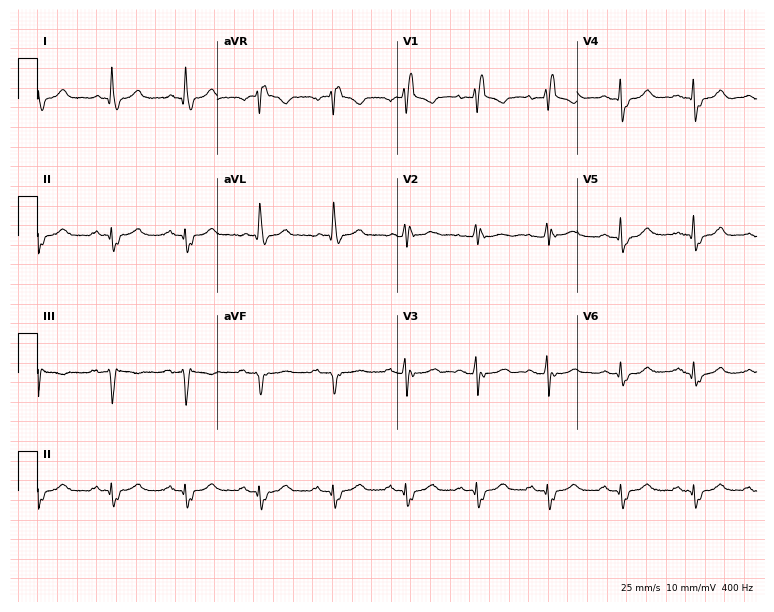
Electrocardiogram, a female, 72 years old. Interpretation includes right bundle branch block (RBBB).